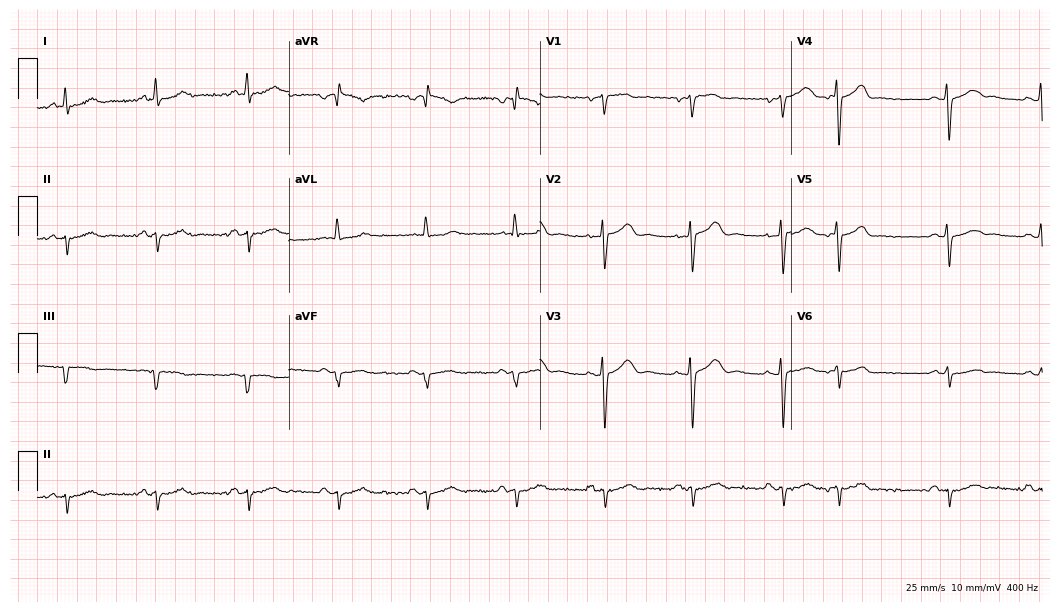
Resting 12-lead electrocardiogram (10.2-second recording at 400 Hz). Patient: a female, 42 years old. None of these six findings is recorded: first-degree AV block, right bundle branch block, left bundle branch block, sinus bradycardia, atrial fibrillation, sinus tachycardia.